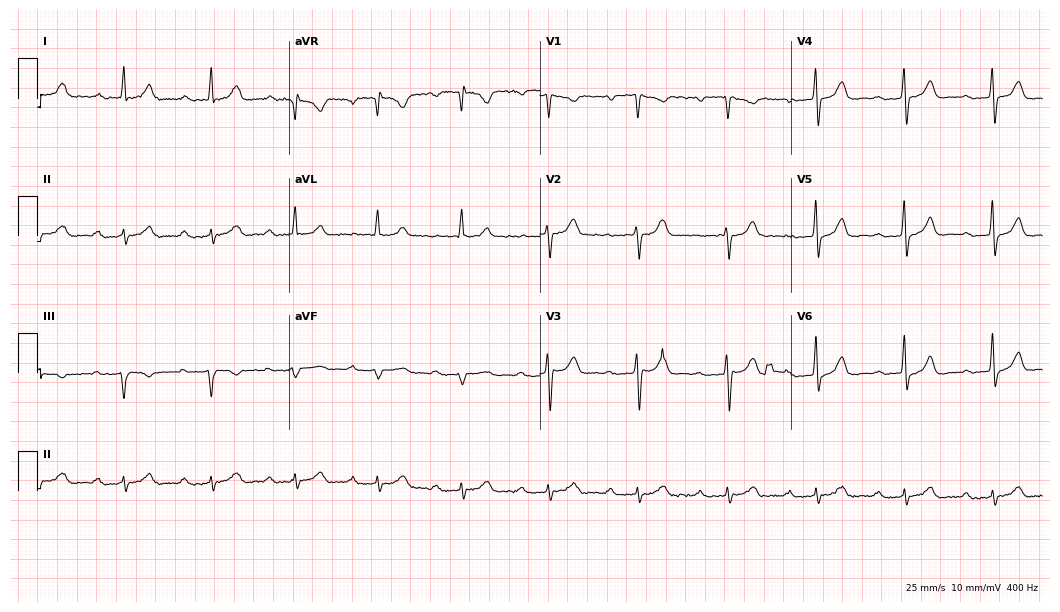
Resting 12-lead electrocardiogram. Patient: a male, 35 years old. The tracing shows first-degree AV block.